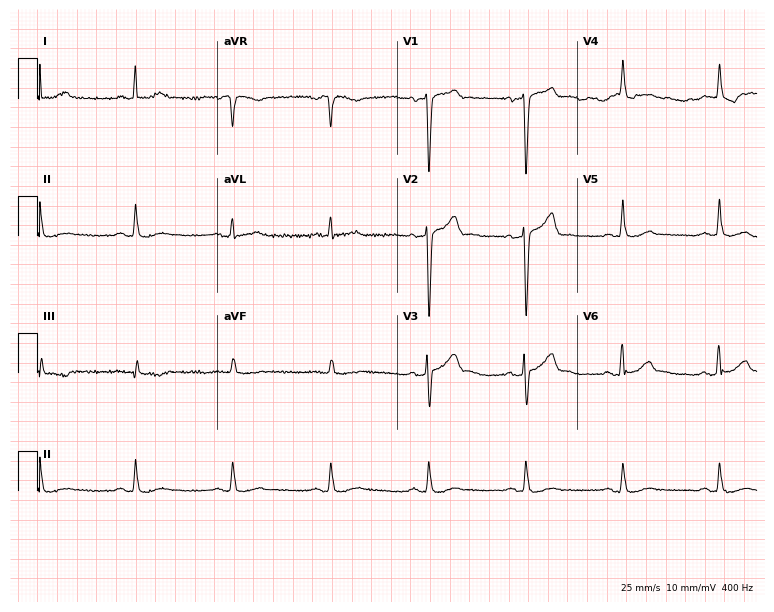
ECG — a 50-year-old male. Screened for six findings — first-degree AV block, right bundle branch block (RBBB), left bundle branch block (LBBB), sinus bradycardia, atrial fibrillation (AF), sinus tachycardia — none is recorded.